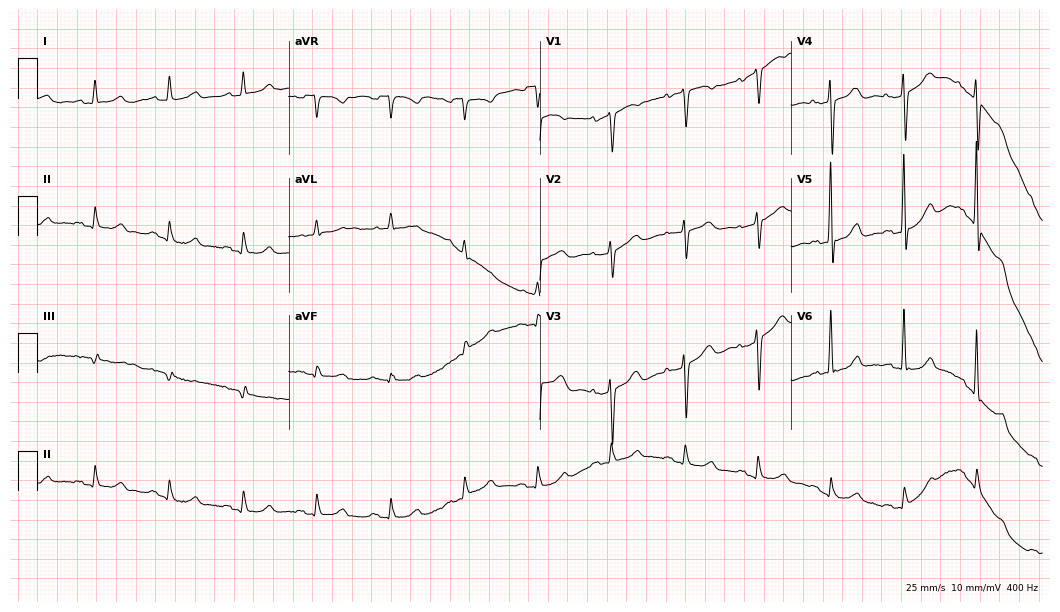
Standard 12-lead ECG recorded from a female patient, 77 years old. None of these six findings is recorded: first-degree AV block, right bundle branch block, left bundle branch block, sinus bradycardia, atrial fibrillation, sinus tachycardia. Other findings, if any, are not listed.